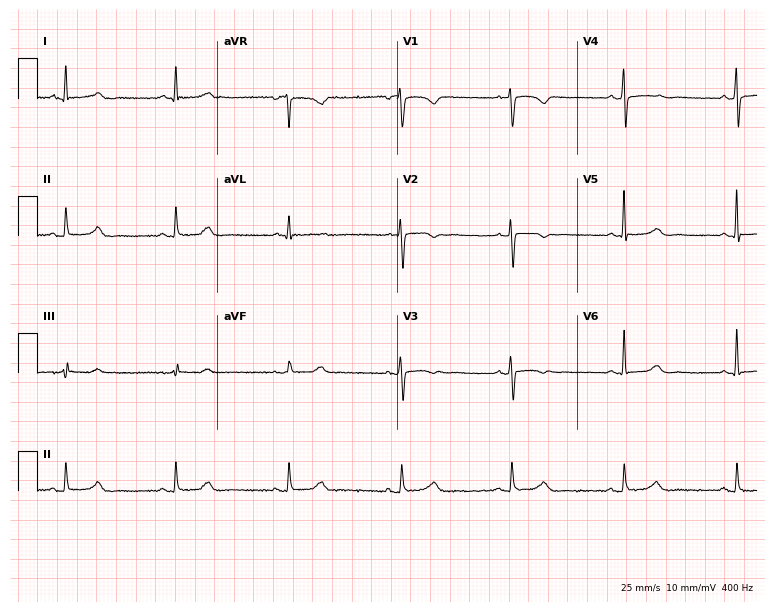
ECG (7.3-second recording at 400 Hz) — a female, 67 years old. Labelled as a normal ECG.